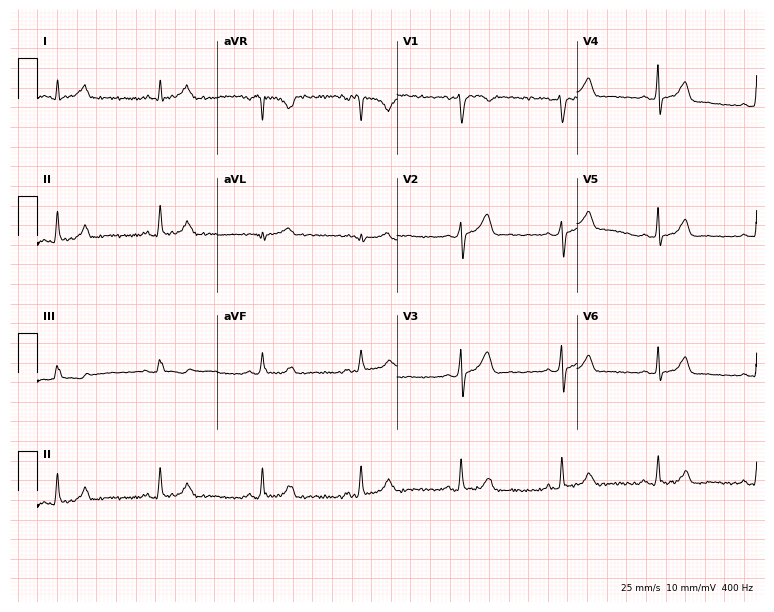
ECG — a female, 42 years old. Screened for six findings — first-degree AV block, right bundle branch block, left bundle branch block, sinus bradycardia, atrial fibrillation, sinus tachycardia — none is recorded. Only these six findings were labelled.